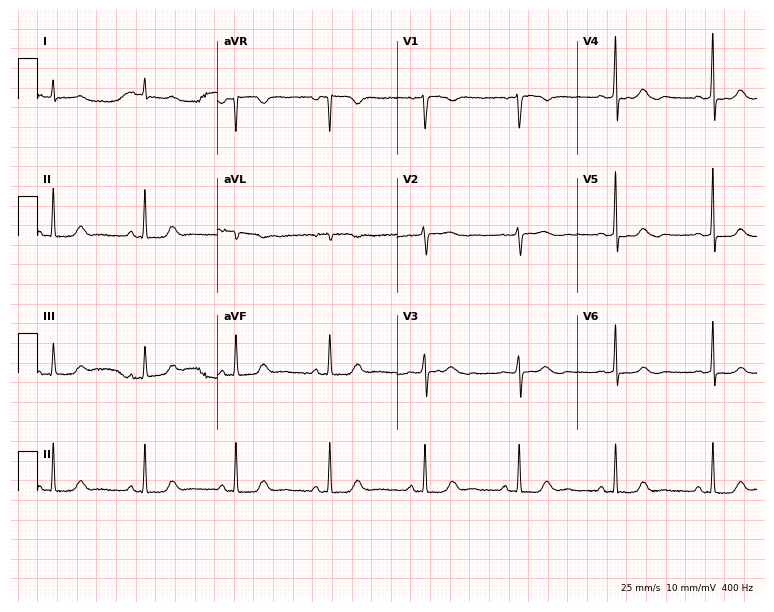
12-lead ECG from a woman, 63 years old. No first-degree AV block, right bundle branch block, left bundle branch block, sinus bradycardia, atrial fibrillation or sinus tachycardia recorded for this tracing.